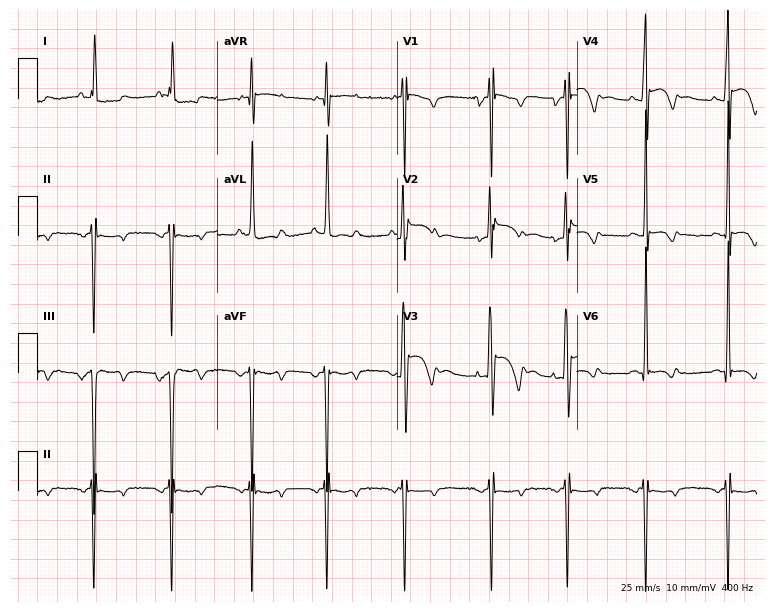
12-lead ECG from a female patient, 23 years old. No first-degree AV block, right bundle branch block, left bundle branch block, sinus bradycardia, atrial fibrillation or sinus tachycardia recorded for this tracing.